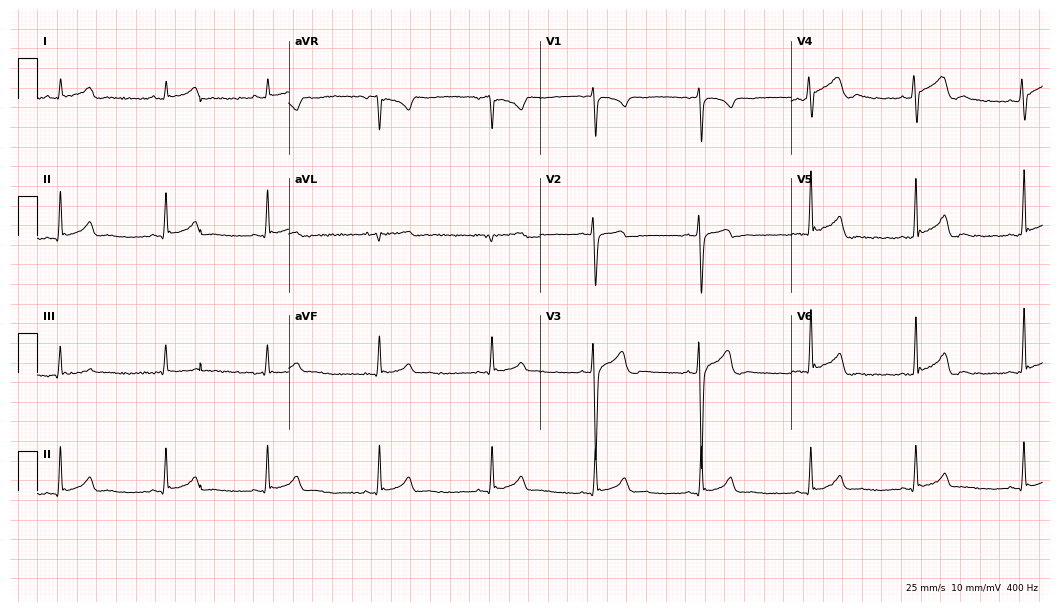
ECG — a male, 19 years old. Screened for six findings — first-degree AV block, right bundle branch block, left bundle branch block, sinus bradycardia, atrial fibrillation, sinus tachycardia — none is recorded. Other findings, if any, are not listed.